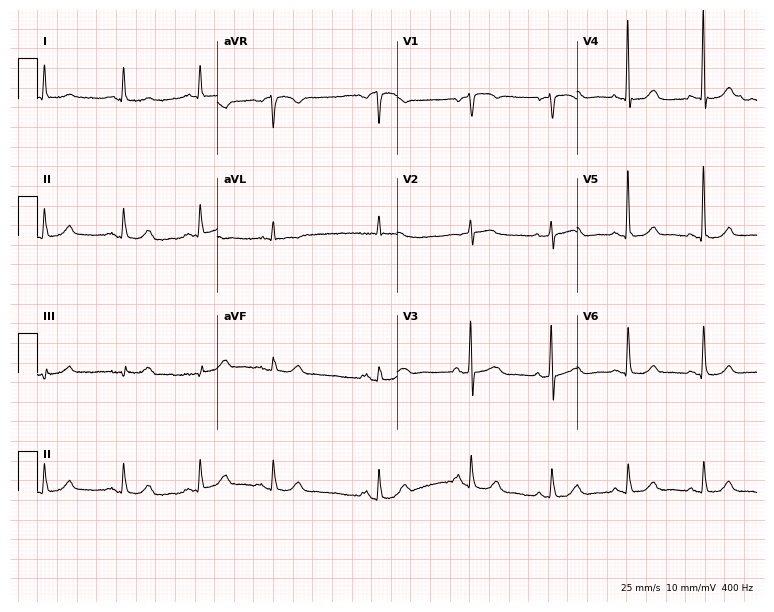
Electrocardiogram, an 81-year-old female patient. Overall reading on record: normal ECG.